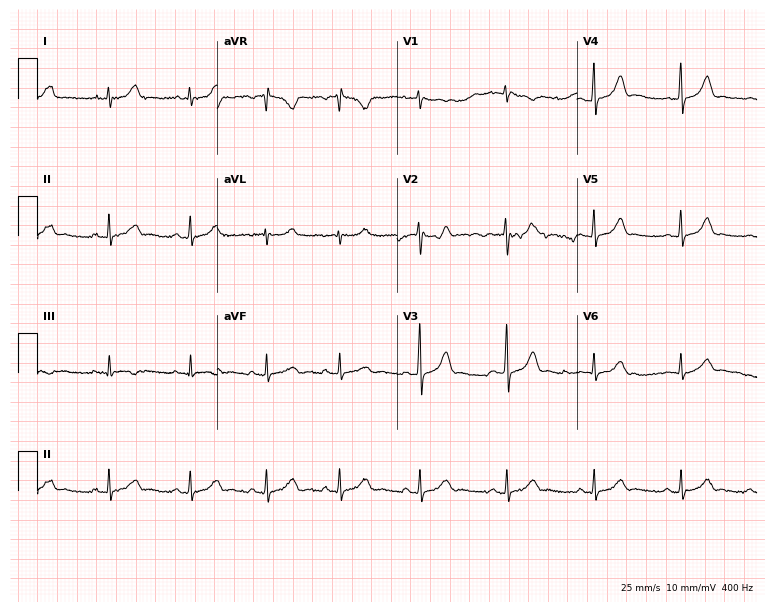
ECG — a 21-year-old female patient. Labelled as a normal ECG.